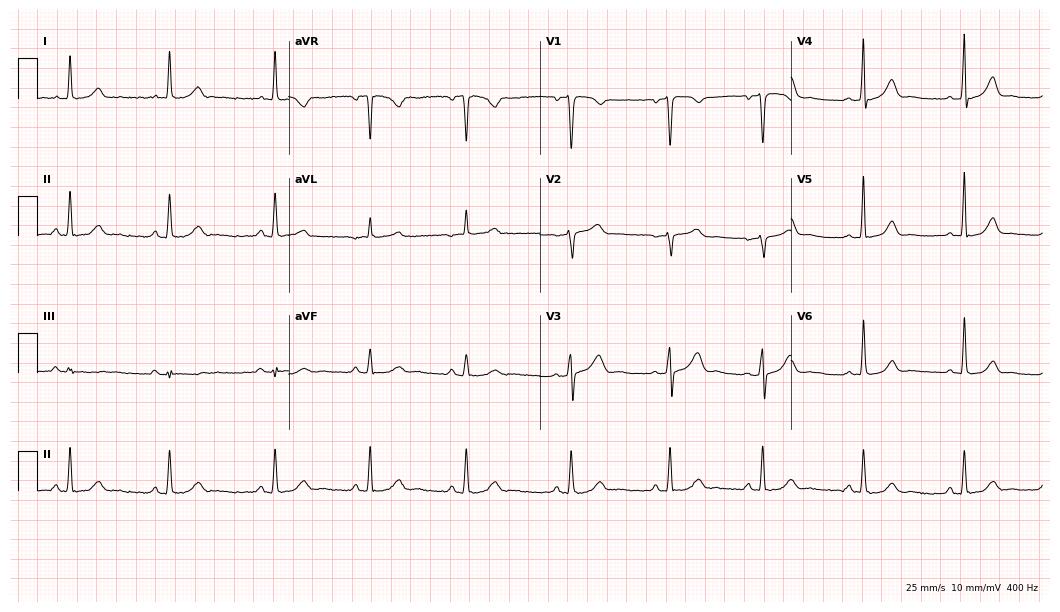
ECG — a 29-year-old female patient. Labelled as a normal ECG.